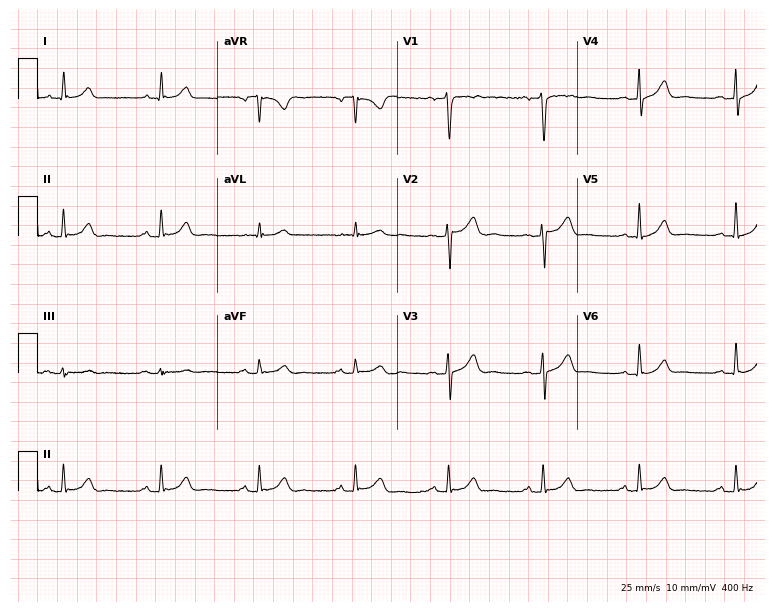
ECG — a male, 48 years old. Labelled as a normal ECG.